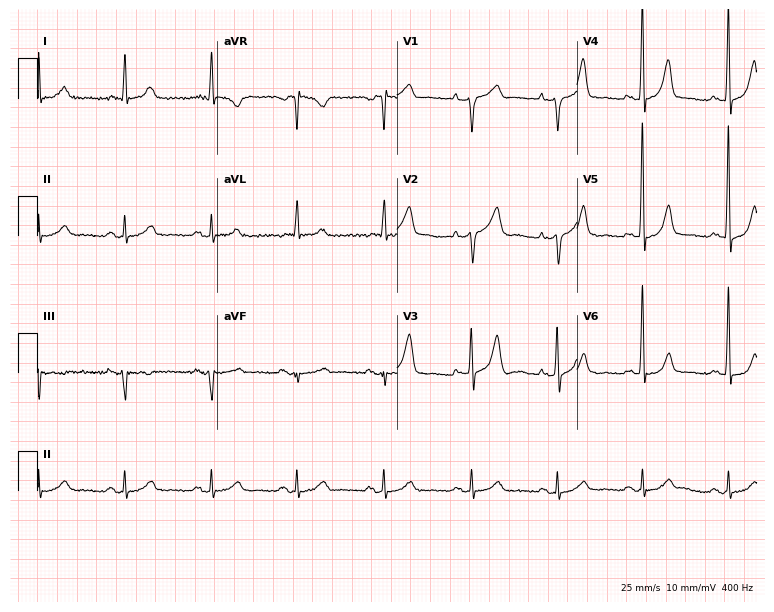
Resting 12-lead electrocardiogram. Patient: a 65-year-old male. None of these six findings is recorded: first-degree AV block, right bundle branch block, left bundle branch block, sinus bradycardia, atrial fibrillation, sinus tachycardia. Findings outside these six are not listed.